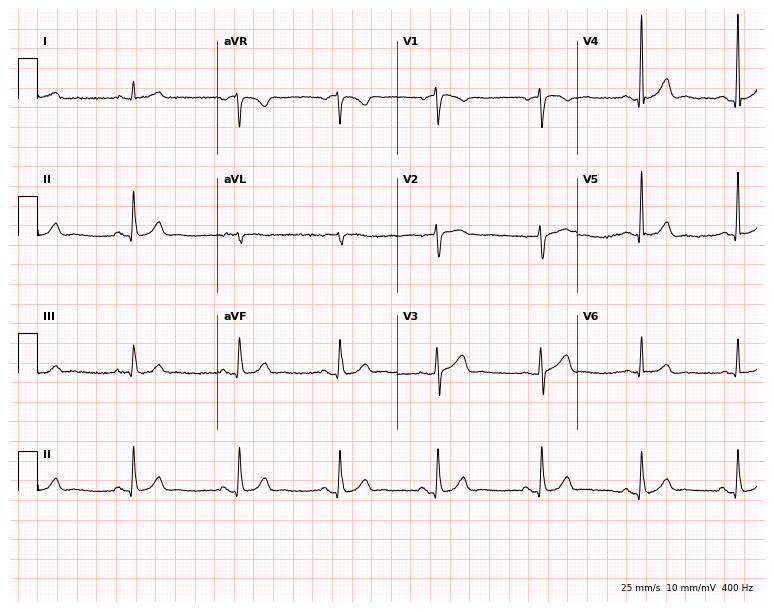
Standard 12-lead ECG recorded from a male patient, 77 years old. None of these six findings is recorded: first-degree AV block, right bundle branch block (RBBB), left bundle branch block (LBBB), sinus bradycardia, atrial fibrillation (AF), sinus tachycardia. Only these six findings were labelled.